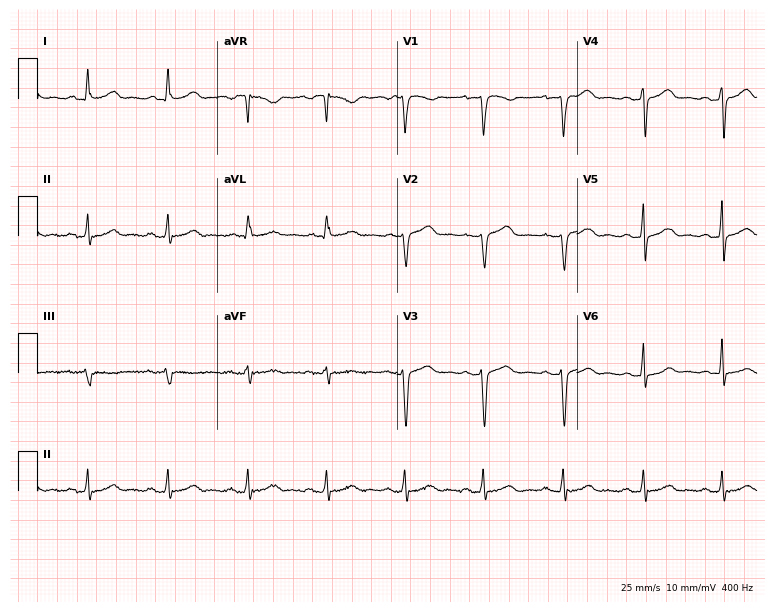
Electrocardiogram, a female, 42 years old. Of the six screened findings (first-degree AV block, right bundle branch block, left bundle branch block, sinus bradycardia, atrial fibrillation, sinus tachycardia), none is recorded. Findings outside these six are not listed.